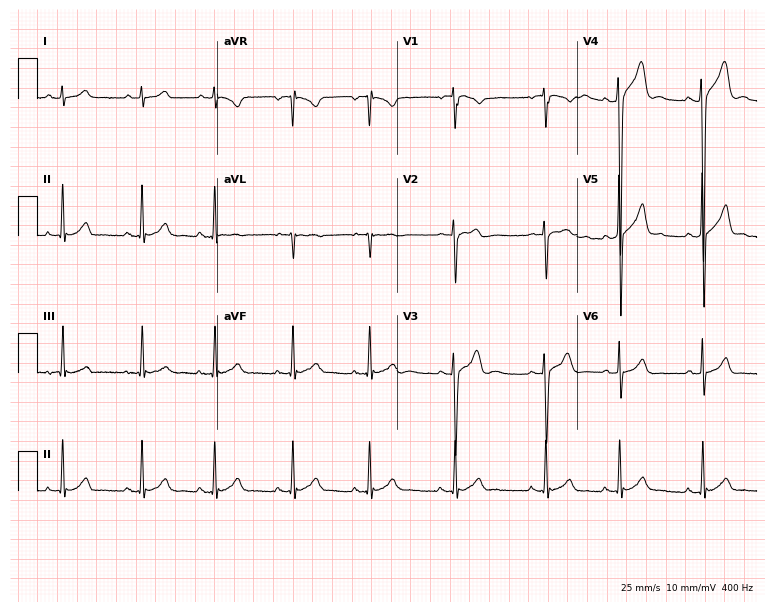
Electrocardiogram (7.3-second recording at 400 Hz), a man, 18 years old. Of the six screened findings (first-degree AV block, right bundle branch block, left bundle branch block, sinus bradycardia, atrial fibrillation, sinus tachycardia), none is recorded. Findings outside these six are not listed.